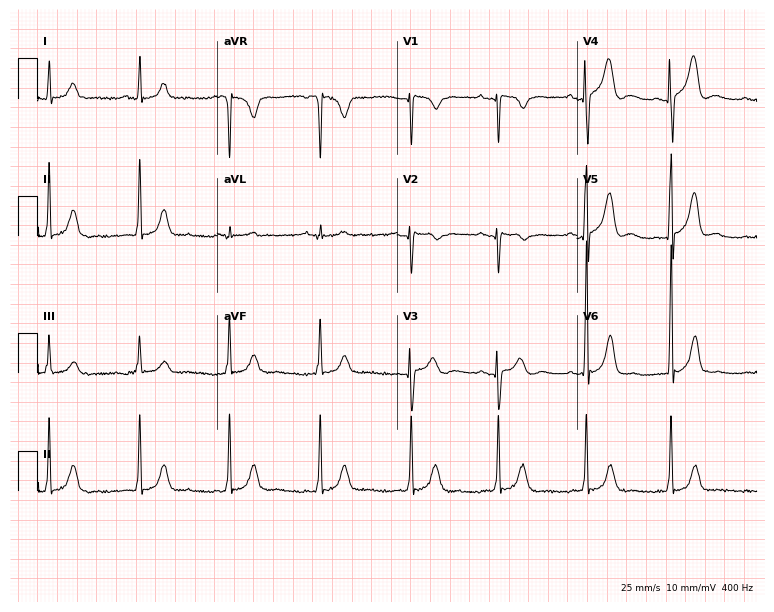
Electrocardiogram (7.3-second recording at 400 Hz), a woman, 43 years old. Of the six screened findings (first-degree AV block, right bundle branch block, left bundle branch block, sinus bradycardia, atrial fibrillation, sinus tachycardia), none is recorded.